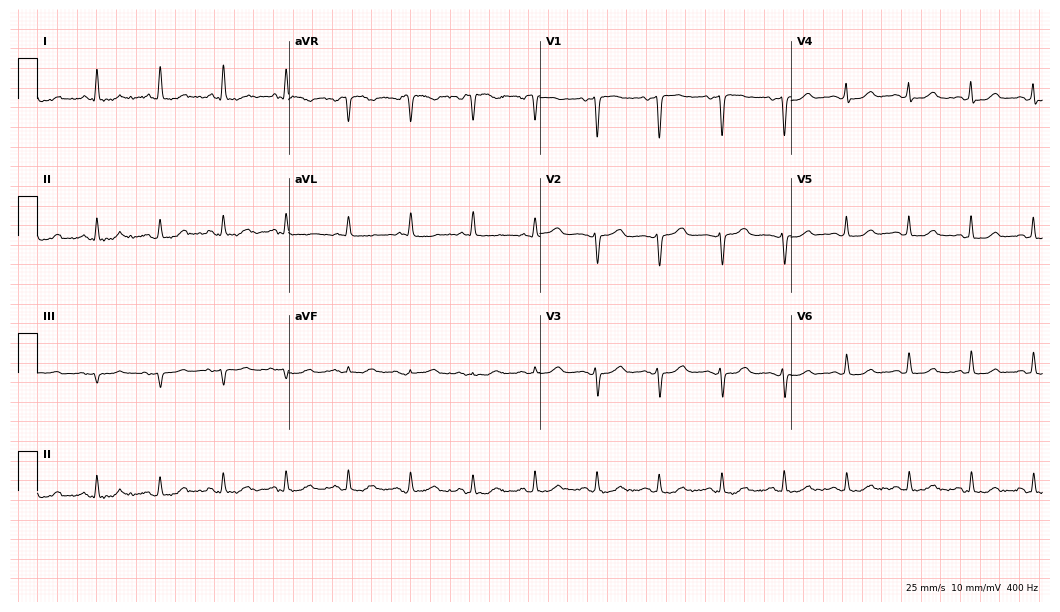
12-lead ECG from a 60-year-old female patient (10.2-second recording at 400 Hz). No first-degree AV block, right bundle branch block (RBBB), left bundle branch block (LBBB), sinus bradycardia, atrial fibrillation (AF) or sinus tachycardia recorded for this tracing. Only these six findings were labelled.